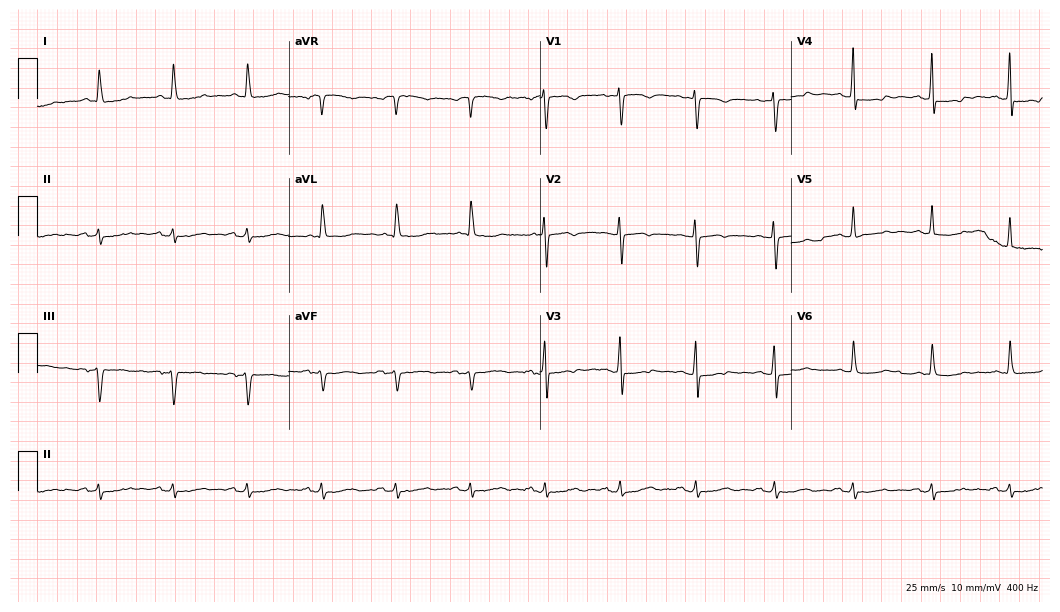
Standard 12-lead ECG recorded from a female, 82 years old (10.2-second recording at 400 Hz). None of these six findings is recorded: first-degree AV block, right bundle branch block, left bundle branch block, sinus bradycardia, atrial fibrillation, sinus tachycardia.